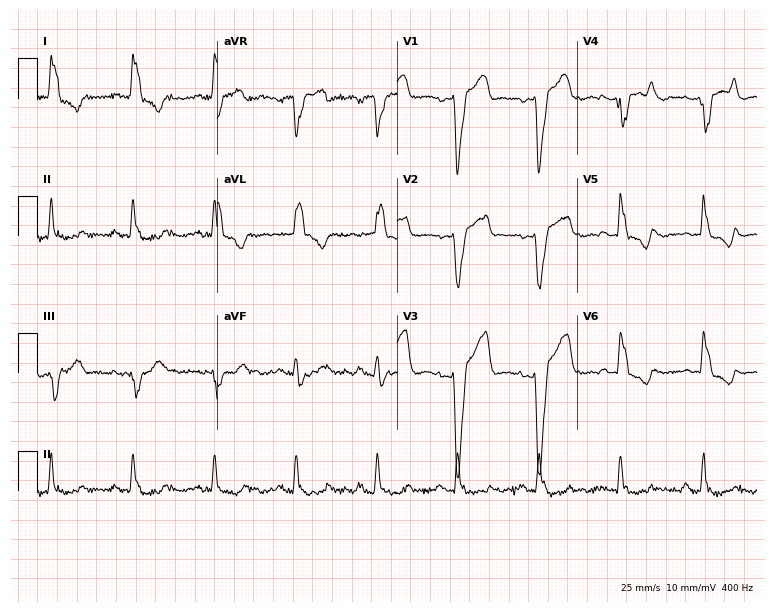
12-lead ECG from a 76-year-old female patient. Shows left bundle branch block.